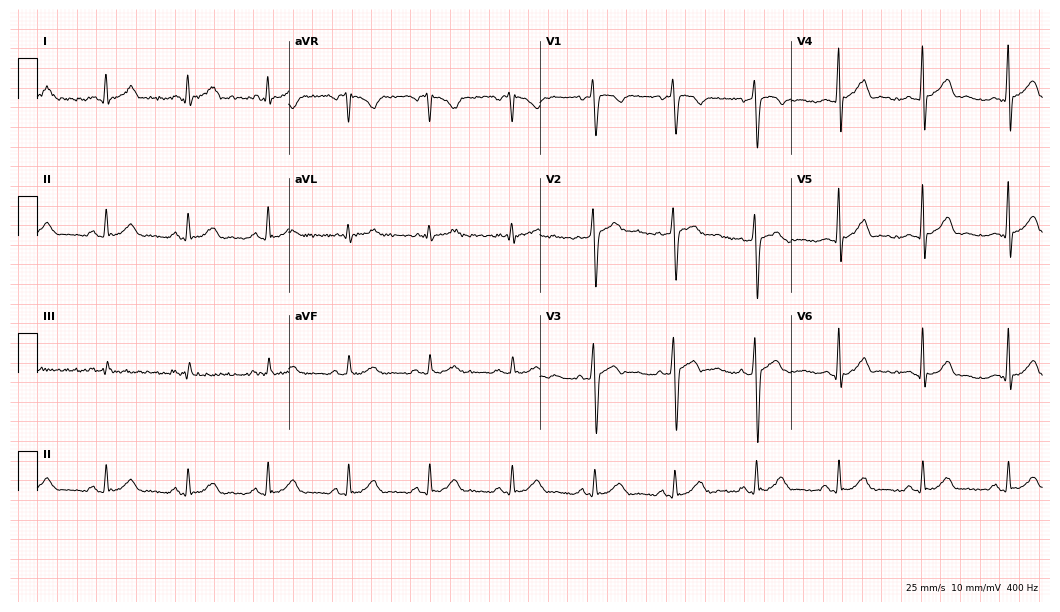
Standard 12-lead ECG recorded from a male, 44 years old. Read as a normal ECG.